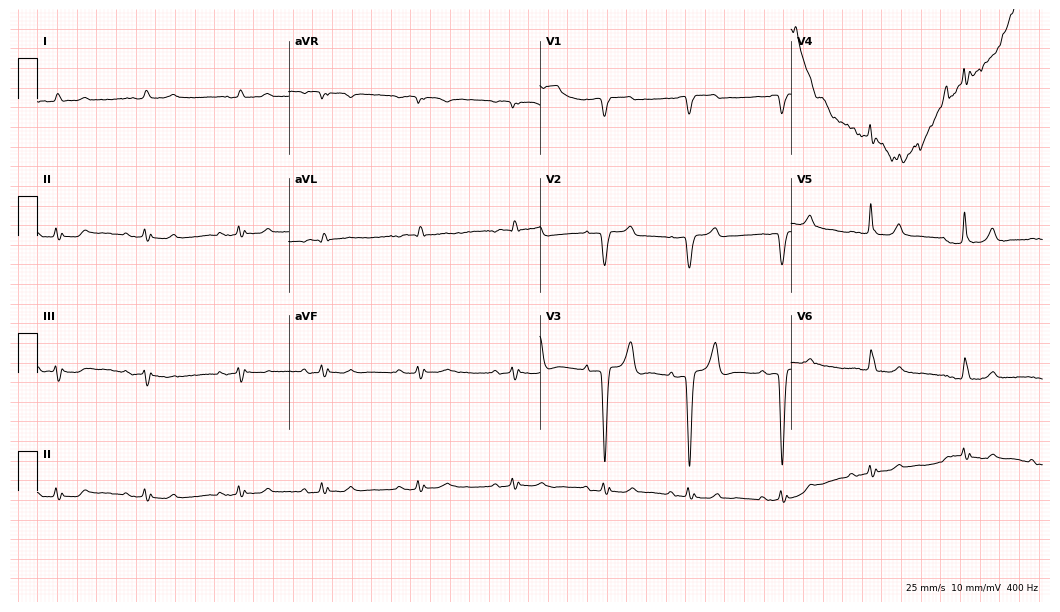
12-lead ECG from an 81-year-old male patient. Screened for six findings — first-degree AV block, right bundle branch block, left bundle branch block, sinus bradycardia, atrial fibrillation, sinus tachycardia — none is recorded. Only these six findings were labelled.